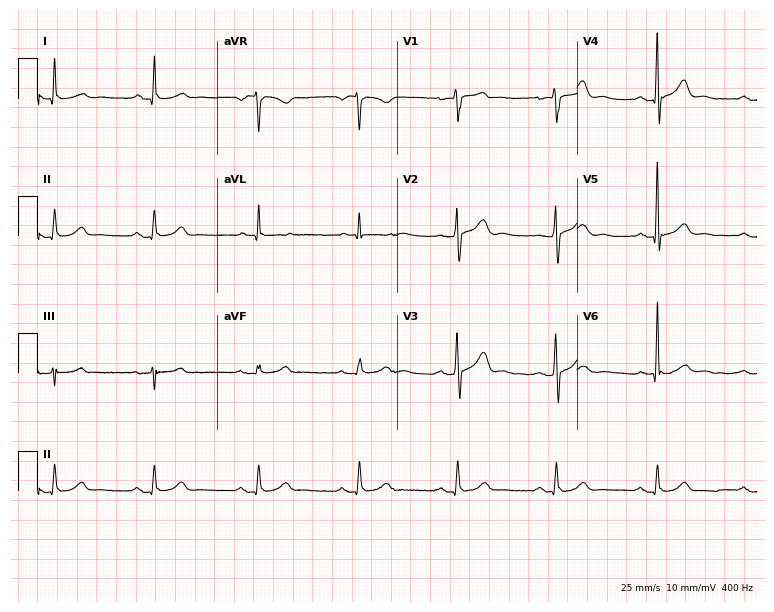
12-lead ECG from a male, 75 years old. Screened for six findings — first-degree AV block, right bundle branch block, left bundle branch block, sinus bradycardia, atrial fibrillation, sinus tachycardia — none is recorded. Only these six findings were labelled.